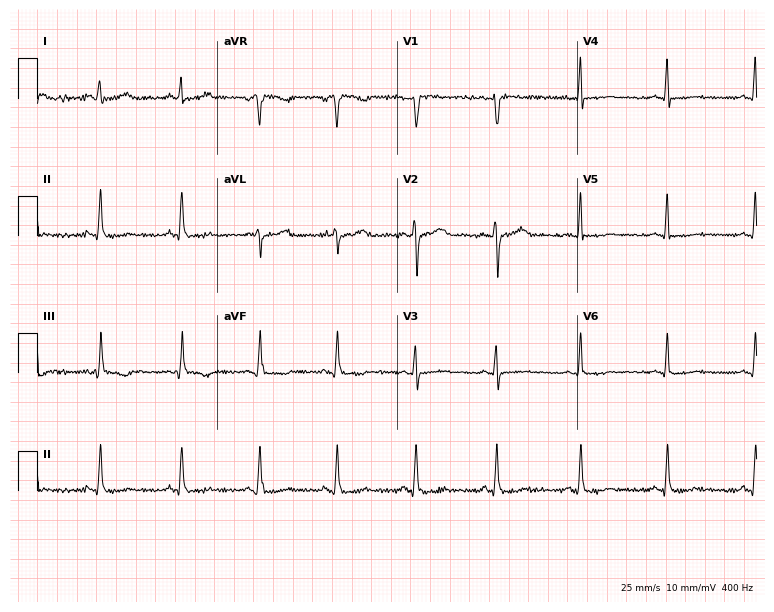
Standard 12-lead ECG recorded from a female, 43 years old. None of these six findings is recorded: first-degree AV block, right bundle branch block, left bundle branch block, sinus bradycardia, atrial fibrillation, sinus tachycardia.